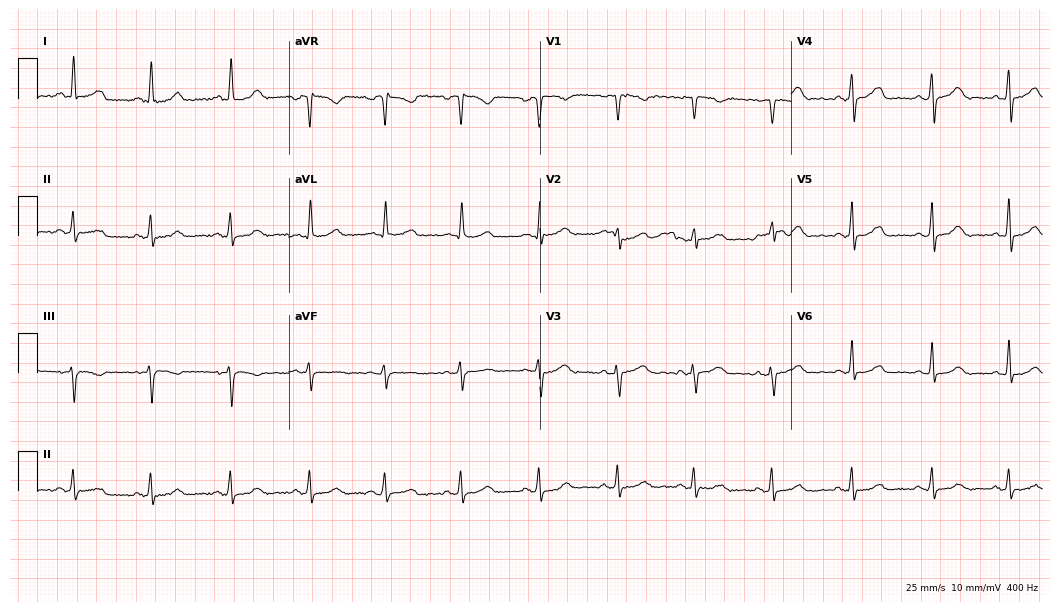
Electrocardiogram (10.2-second recording at 400 Hz), a 50-year-old woman. Overall reading on record: normal ECG.